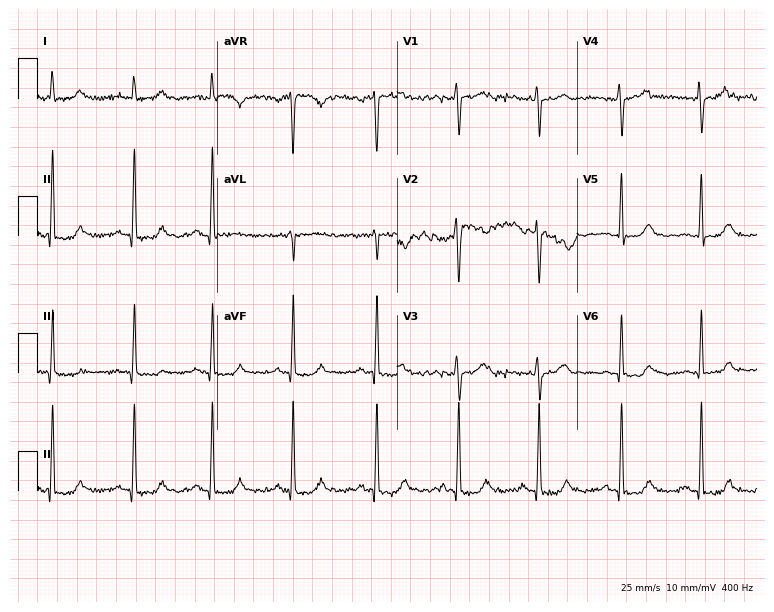
12-lead ECG from a woman, 35 years old. No first-degree AV block, right bundle branch block, left bundle branch block, sinus bradycardia, atrial fibrillation or sinus tachycardia recorded for this tracing. Findings outside these six are not listed.